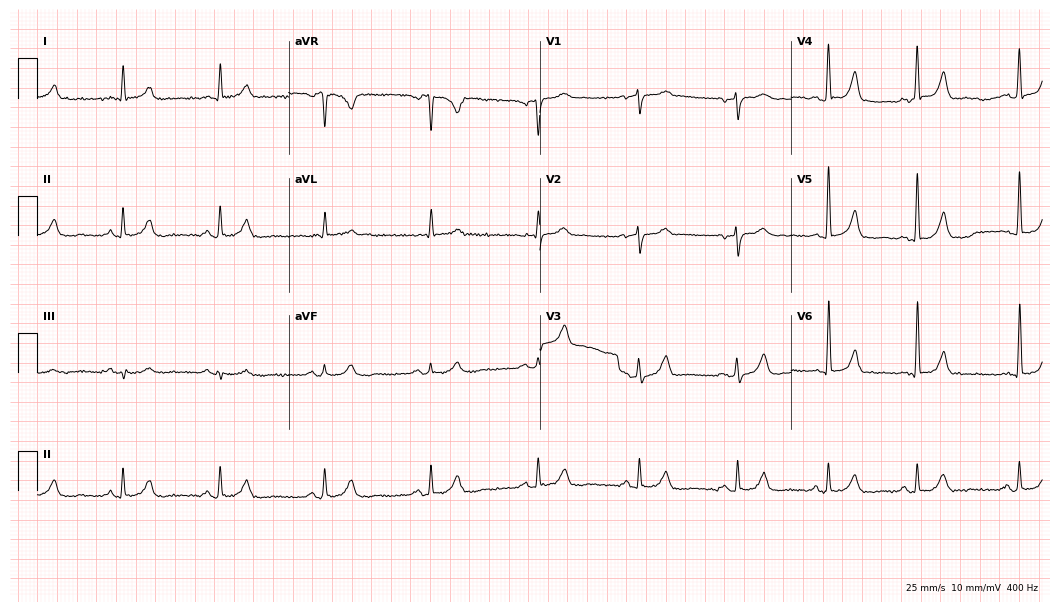
ECG (10.2-second recording at 400 Hz) — a 76-year-old male patient. Labelled as a normal ECG.